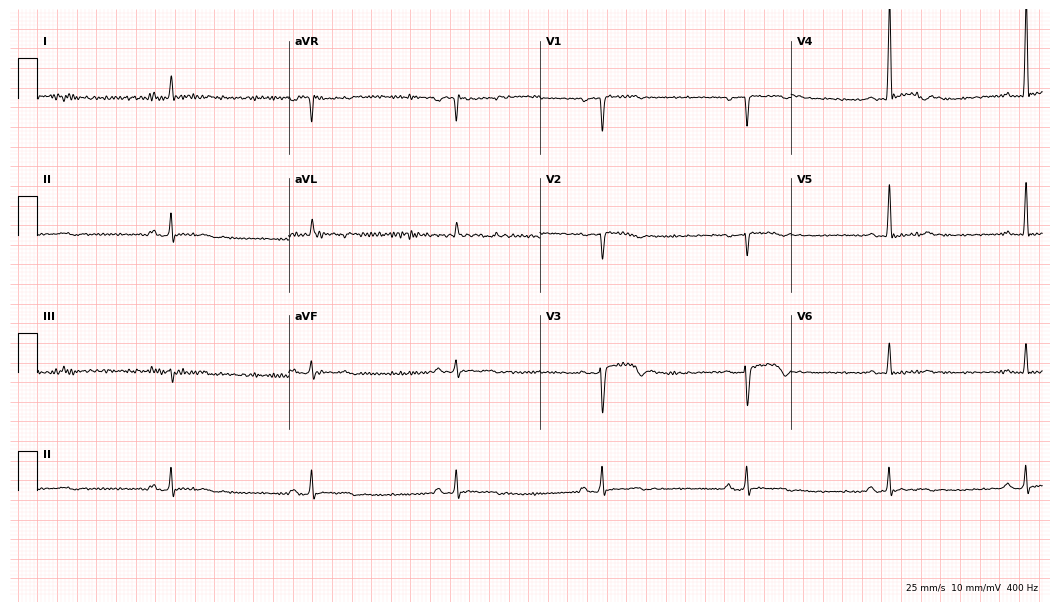
Electrocardiogram (10.2-second recording at 400 Hz), a 29-year-old male patient. Interpretation includes sinus bradycardia (a sinus rate of 50 beats per minute or less).